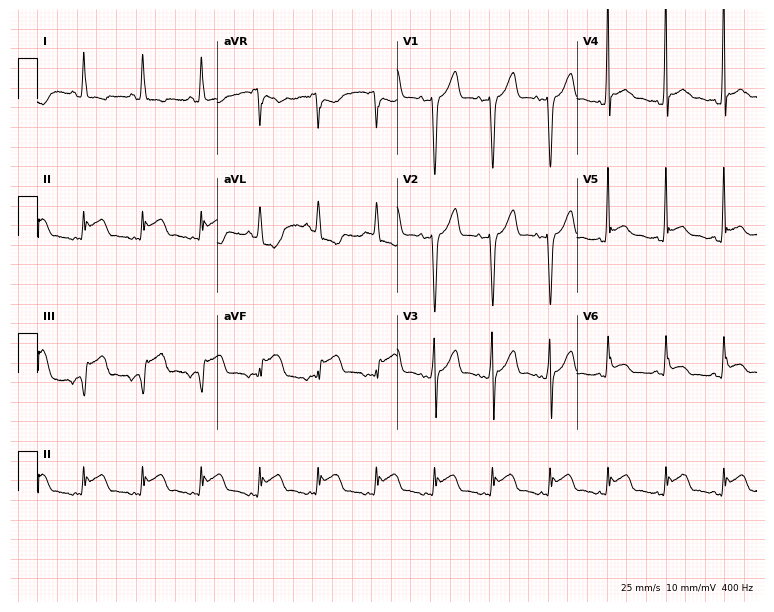
ECG (7.3-second recording at 400 Hz) — a 62-year-old female patient. Screened for six findings — first-degree AV block, right bundle branch block (RBBB), left bundle branch block (LBBB), sinus bradycardia, atrial fibrillation (AF), sinus tachycardia — none is recorded. Findings outside these six are not listed.